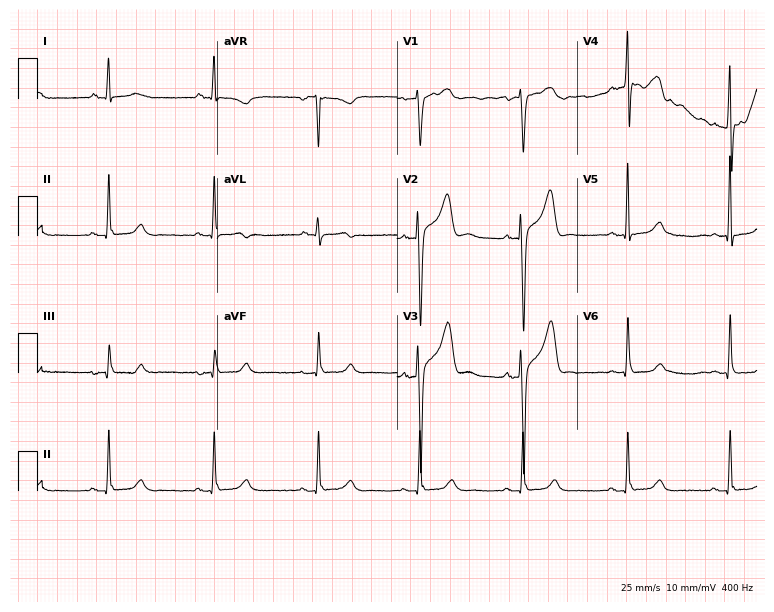
12-lead ECG (7.3-second recording at 400 Hz) from a male patient, 54 years old. Labelled as a normal ECG.